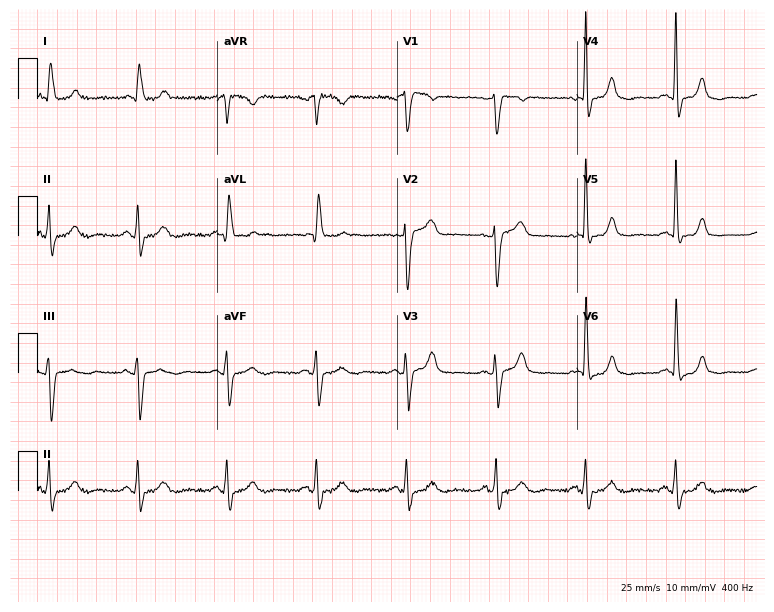
12-lead ECG from a 78-year-old female. Labelled as a normal ECG.